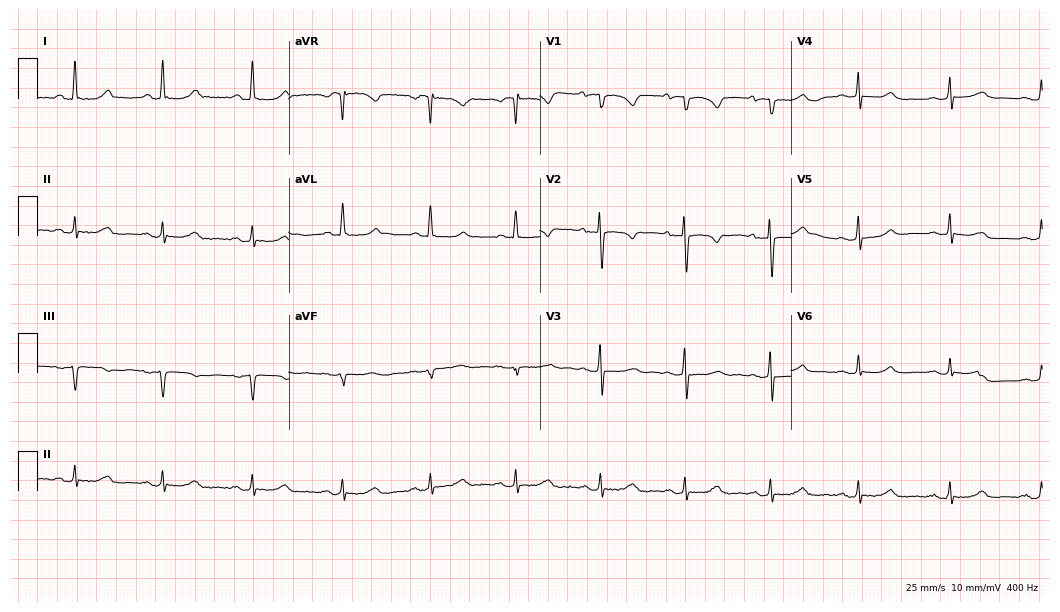
Electrocardiogram, a female, 61 years old. Overall reading on record: normal ECG.